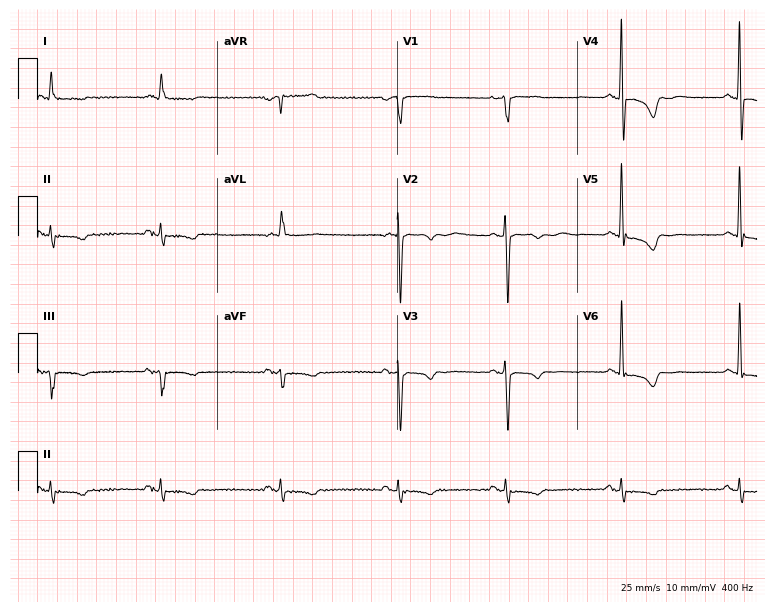
ECG — a woman, 82 years old. Screened for six findings — first-degree AV block, right bundle branch block, left bundle branch block, sinus bradycardia, atrial fibrillation, sinus tachycardia — none is recorded. Only these six findings were labelled.